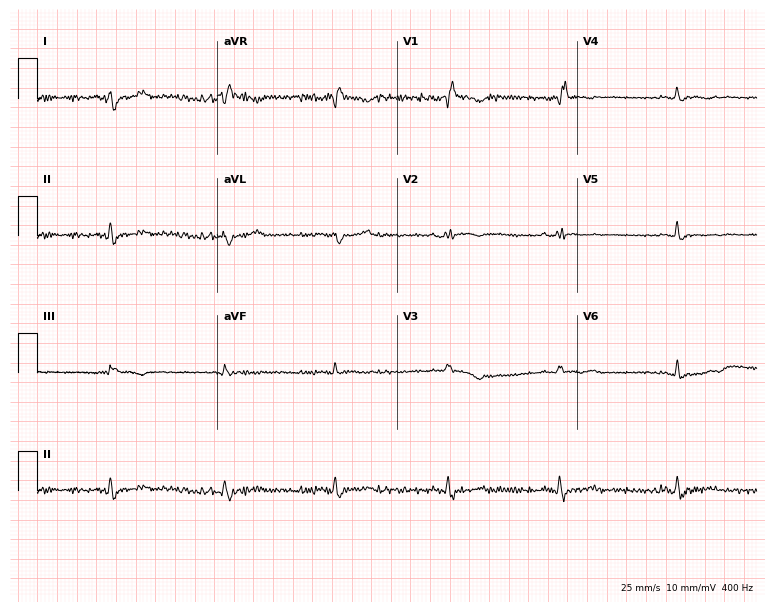
Standard 12-lead ECG recorded from a 33-year-old woman (7.3-second recording at 400 Hz). None of these six findings is recorded: first-degree AV block, right bundle branch block (RBBB), left bundle branch block (LBBB), sinus bradycardia, atrial fibrillation (AF), sinus tachycardia.